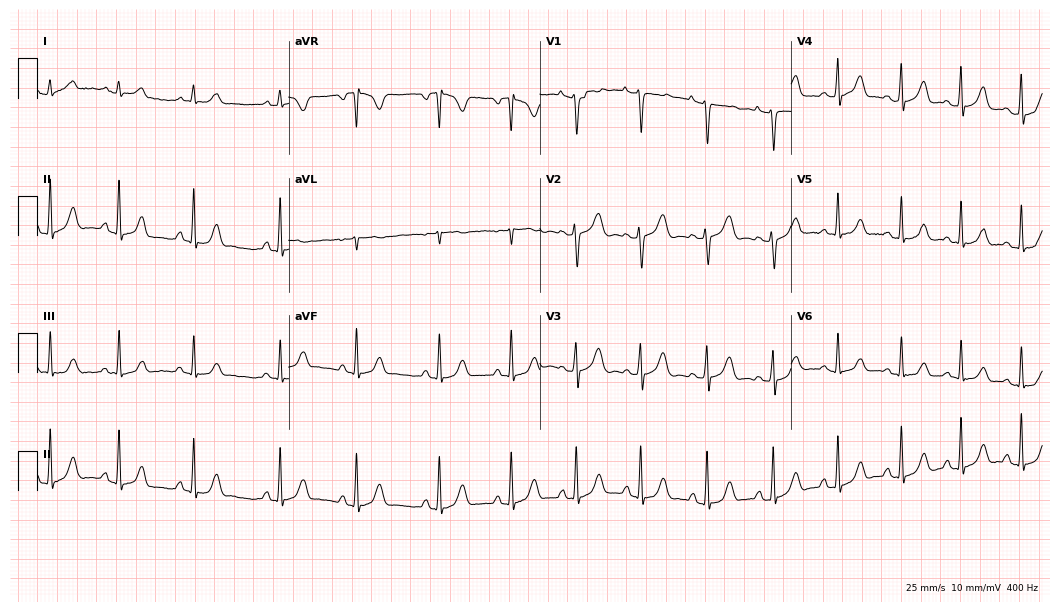
Resting 12-lead electrocardiogram (10.2-second recording at 400 Hz). Patient: a 17-year-old woman. Read as a normal ECG.